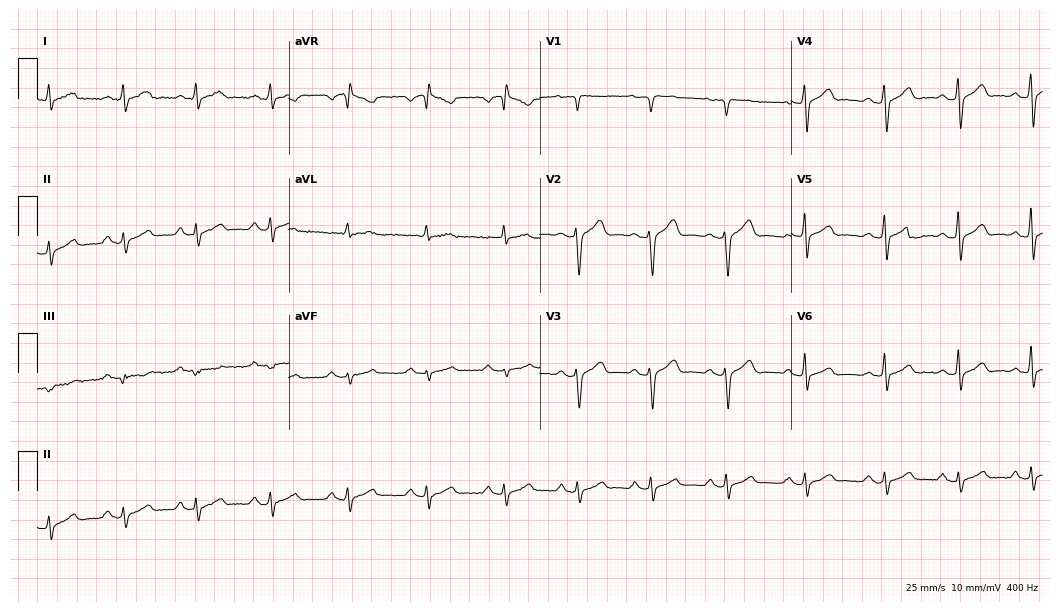
ECG (10.2-second recording at 400 Hz) — a male patient, 41 years old. Labelled as a normal ECG.